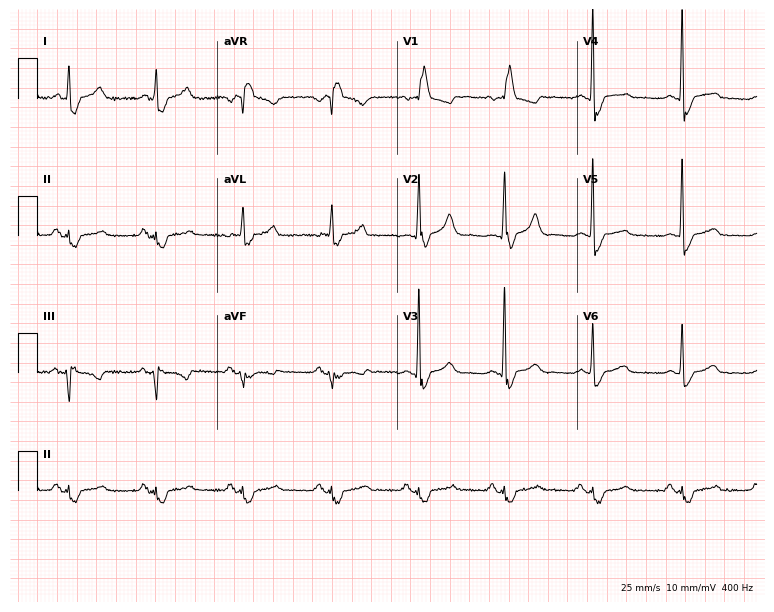
Electrocardiogram (7.3-second recording at 400 Hz), a female, 67 years old. Interpretation includes right bundle branch block (RBBB).